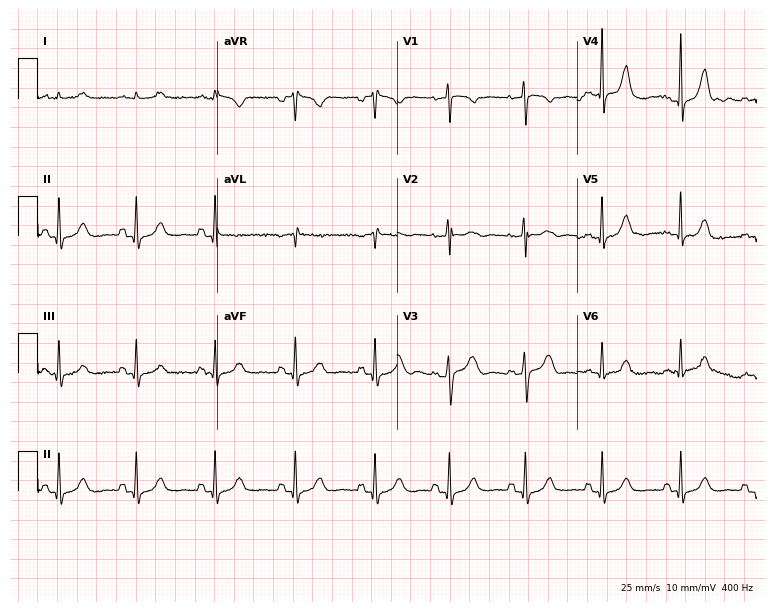
Resting 12-lead electrocardiogram. Patient: a female, 60 years old. Read as a normal ECG.